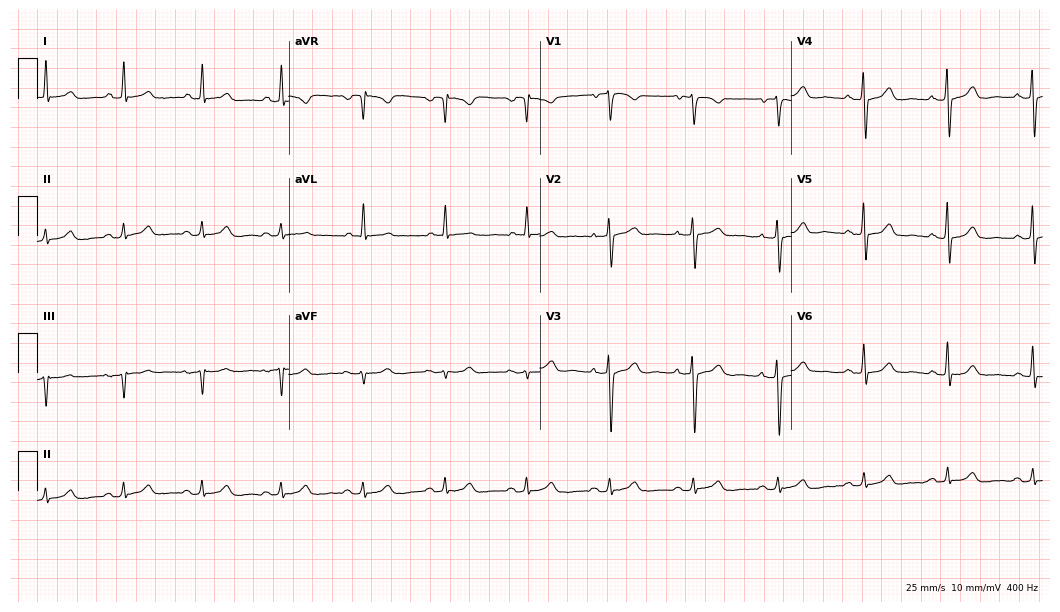
ECG — a woman, 72 years old. Labelled as a normal ECG.